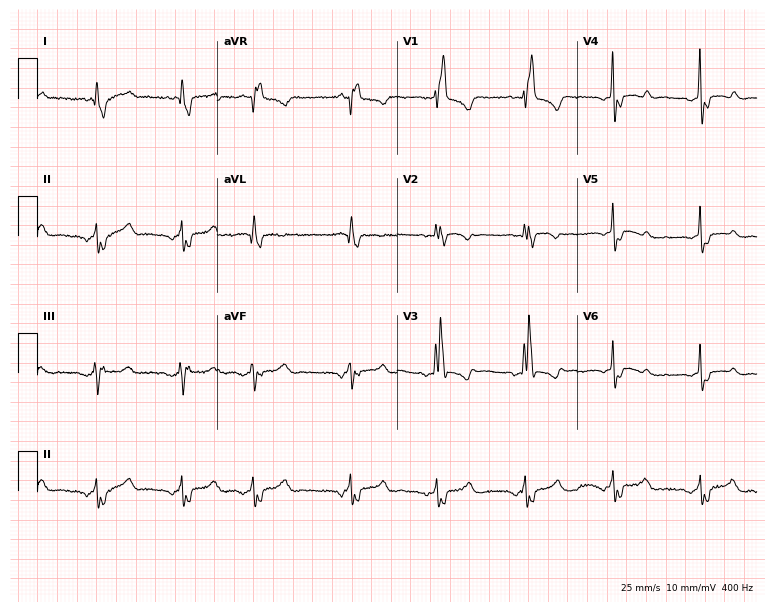
Resting 12-lead electrocardiogram. Patient: a female, 67 years old. The tracing shows right bundle branch block.